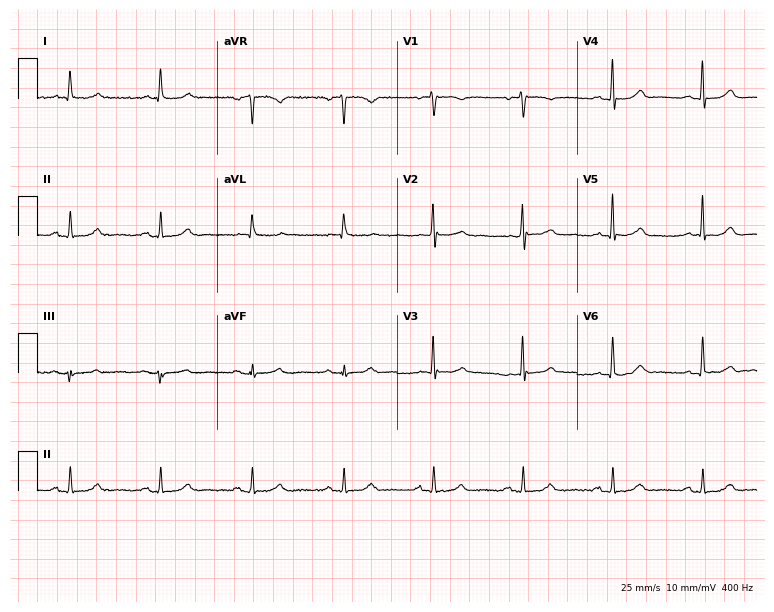
ECG (7.3-second recording at 400 Hz) — an 82-year-old female patient. Labelled as a normal ECG.